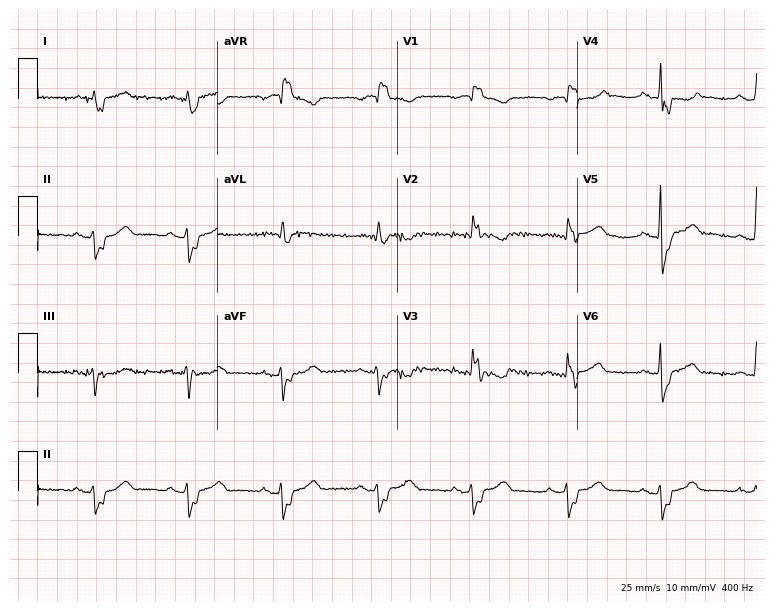
Electrocardiogram, a woman, 79 years old. Interpretation includes right bundle branch block.